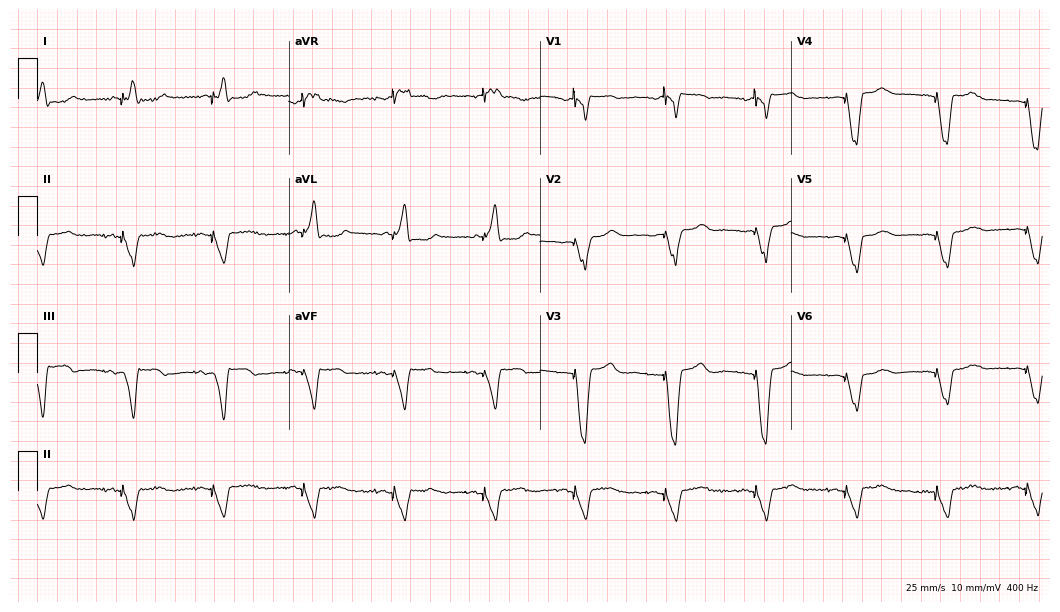
Resting 12-lead electrocardiogram. Patient: a 69-year-old woman. None of these six findings is recorded: first-degree AV block, right bundle branch block, left bundle branch block, sinus bradycardia, atrial fibrillation, sinus tachycardia. Only these six findings were labelled.